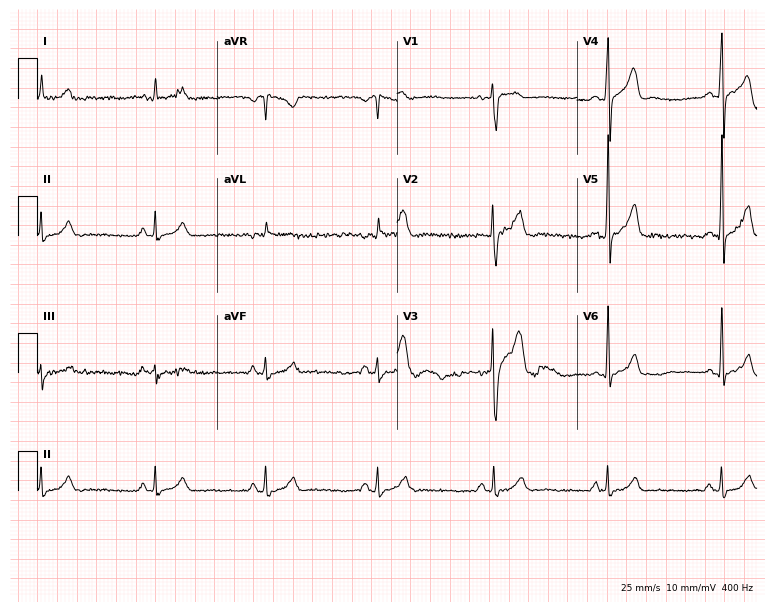
ECG (7.3-second recording at 400 Hz) — a 22-year-old man. Labelled as a normal ECG.